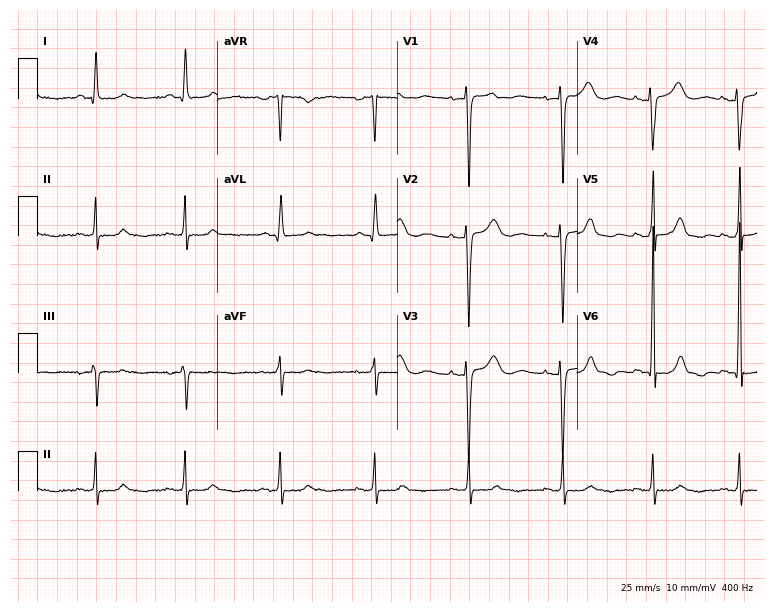
Standard 12-lead ECG recorded from a 49-year-old female patient (7.3-second recording at 400 Hz). None of these six findings is recorded: first-degree AV block, right bundle branch block (RBBB), left bundle branch block (LBBB), sinus bradycardia, atrial fibrillation (AF), sinus tachycardia. Findings outside these six are not listed.